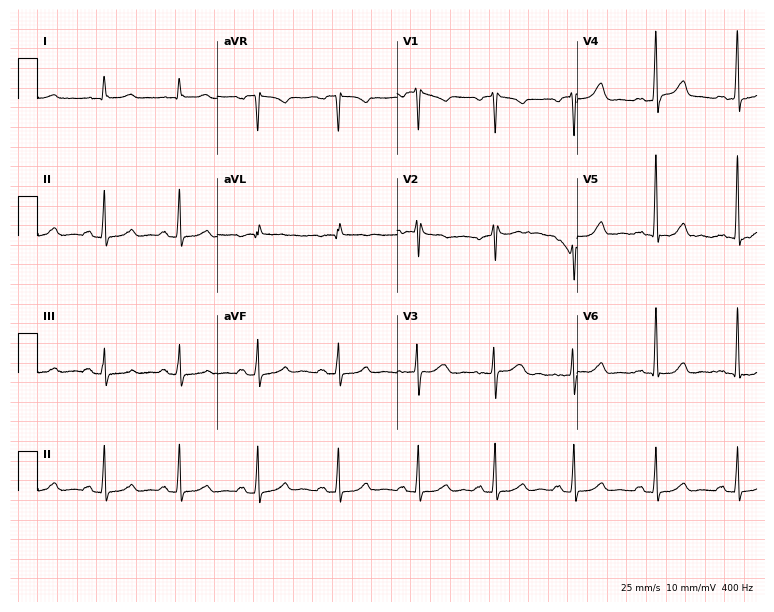
Standard 12-lead ECG recorded from a 47-year-old female (7.3-second recording at 400 Hz). Read as a normal ECG.